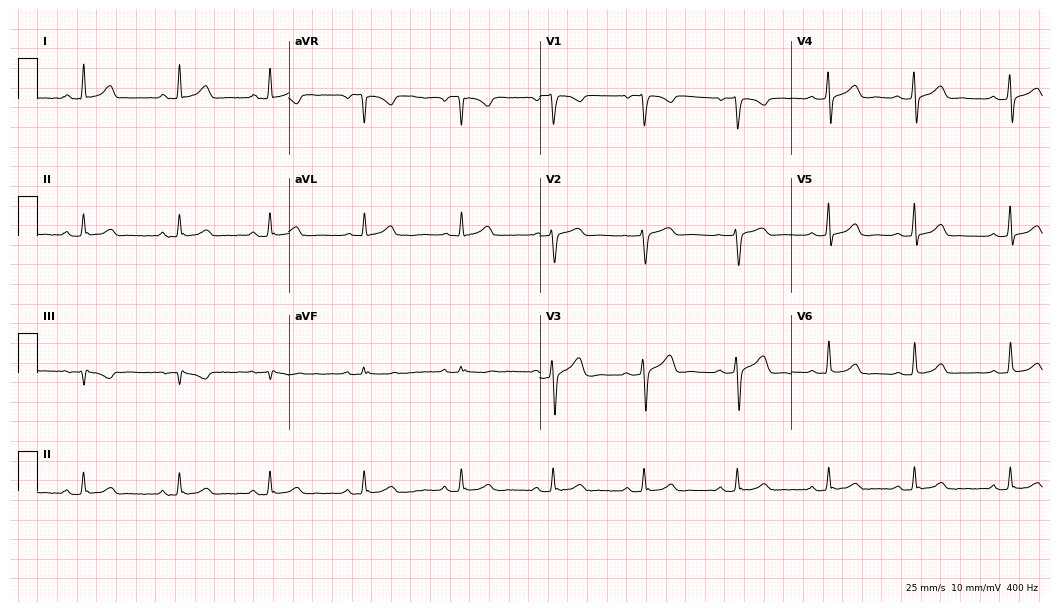
ECG (10.2-second recording at 400 Hz) — a woman, 35 years old. Labelled as a normal ECG.